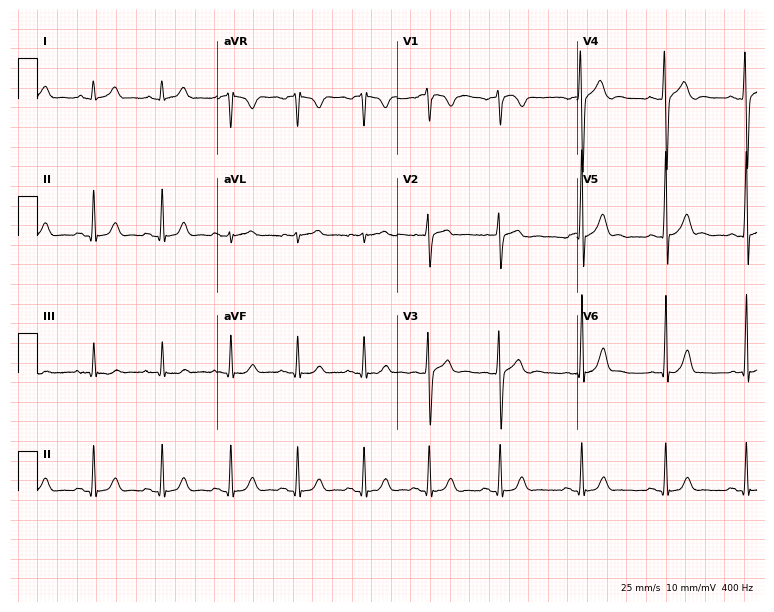
12-lead ECG from an 18-year-old male patient. Recorded interpretation: within normal limits.